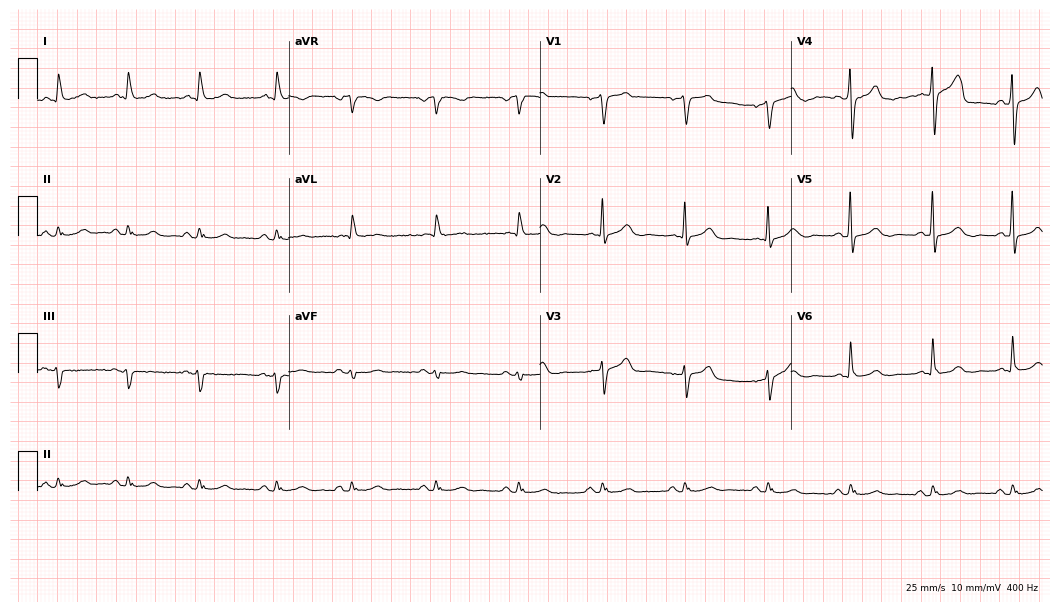
ECG — a 70-year-old male patient. Labelled as a normal ECG.